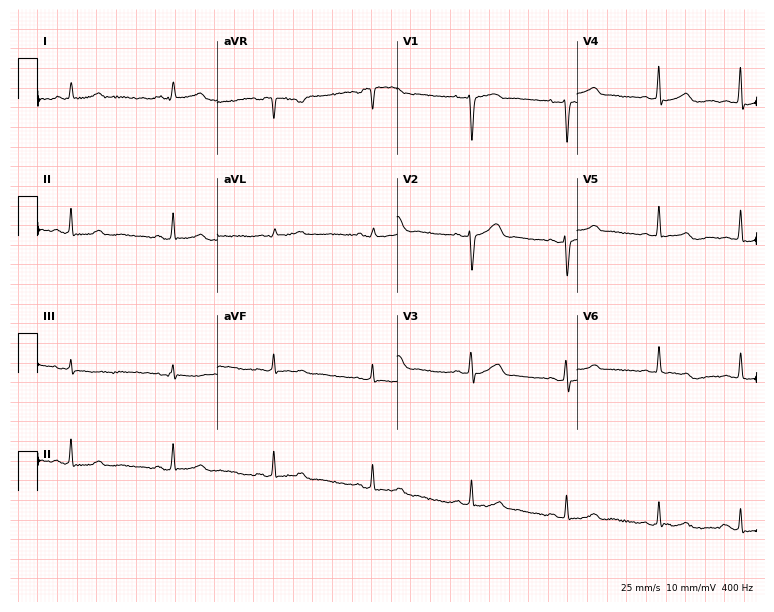
Resting 12-lead electrocardiogram. Patient: a 38-year-old woman. None of these six findings is recorded: first-degree AV block, right bundle branch block, left bundle branch block, sinus bradycardia, atrial fibrillation, sinus tachycardia. Findings outside these six are not listed.